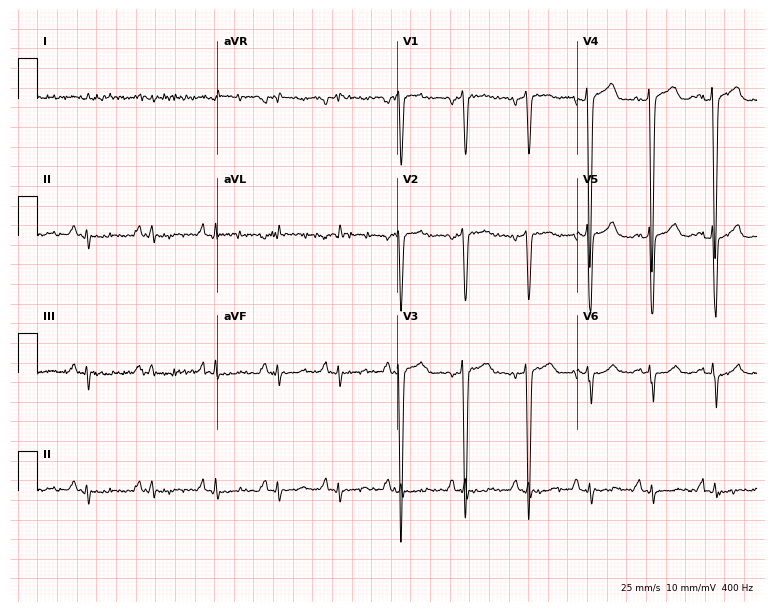
Electrocardiogram (7.3-second recording at 400 Hz), a male, 77 years old. Of the six screened findings (first-degree AV block, right bundle branch block, left bundle branch block, sinus bradycardia, atrial fibrillation, sinus tachycardia), none is recorded. Other findings, if any, are not listed.